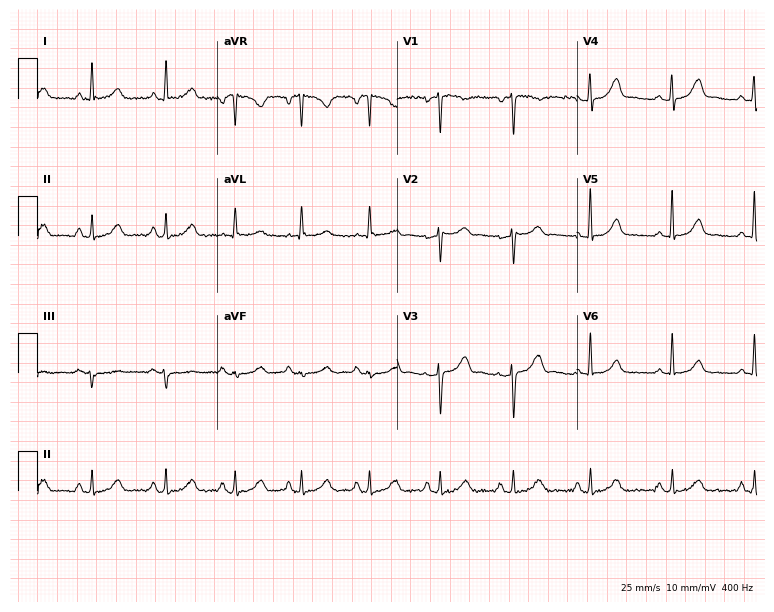
12-lead ECG from a 35-year-old woman. Recorded interpretation: within normal limits.